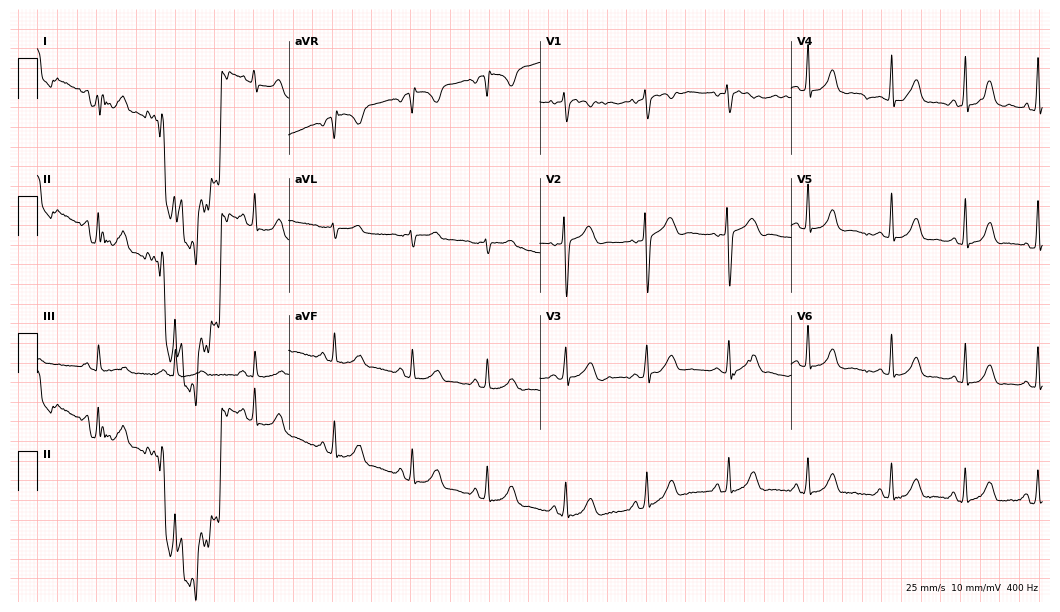
12-lead ECG from a 29-year-old woman (10.2-second recording at 400 Hz). Recorded interpretation: within normal limits.